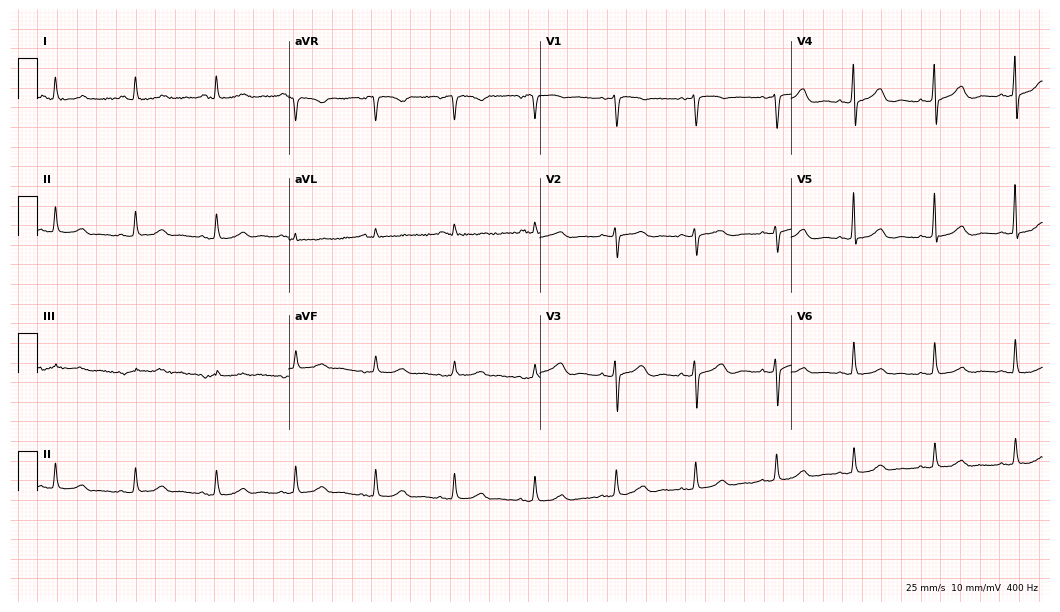
ECG — a female patient, 84 years old. Labelled as a normal ECG.